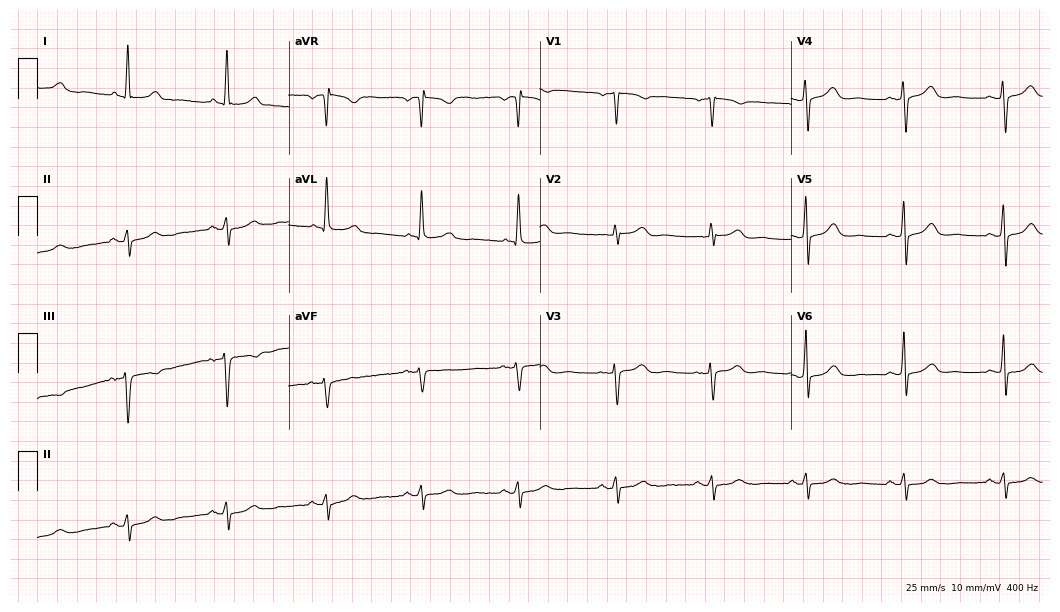
Resting 12-lead electrocardiogram (10.2-second recording at 400 Hz). Patient: a female, 62 years old. None of these six findings is recorded: first-degree AV block, right bundle branch block (RBBB), left bundle branch block (LBBB), sinus bradycardia, atrial fibrillation (AF), sinus tachycardia.